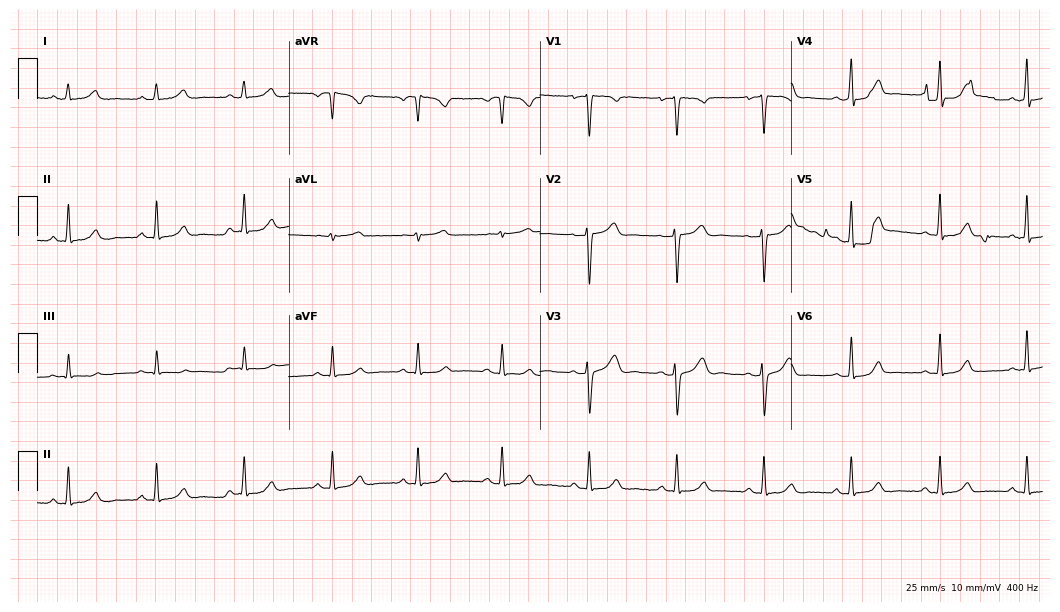
12-lead ECG from a 30-year-old female. Screened for six findings — first-degree AV block, right bundle branch block, left bundle branch block, sinus bradycardia, atrial fibrillation, sinus tachycardia — none is recorded. Findings outside these six are not listed.